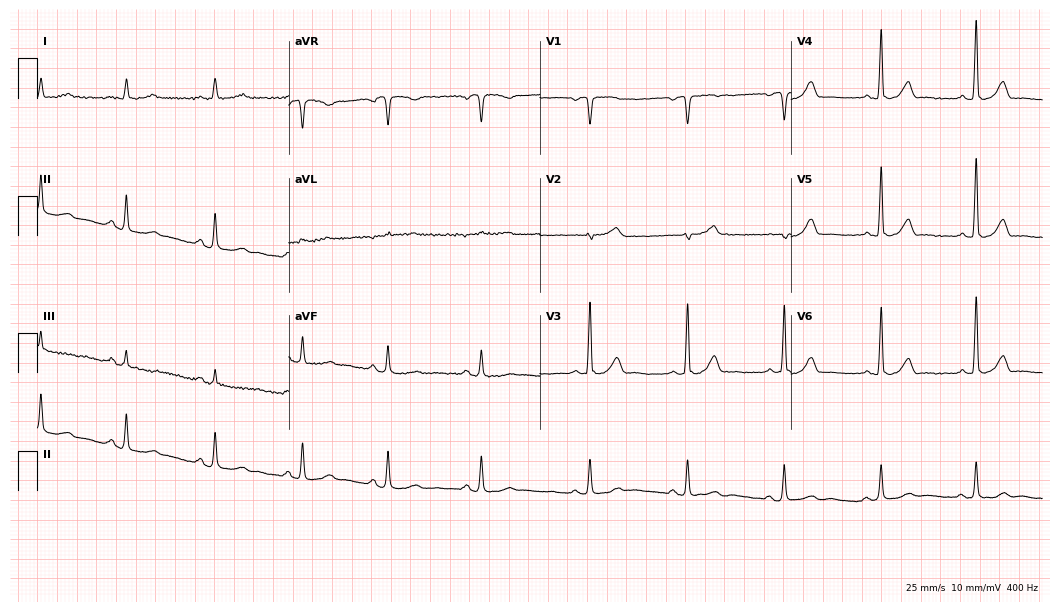
12-lead ECG from an 83-year-old man. Labelled as a normal ECG.